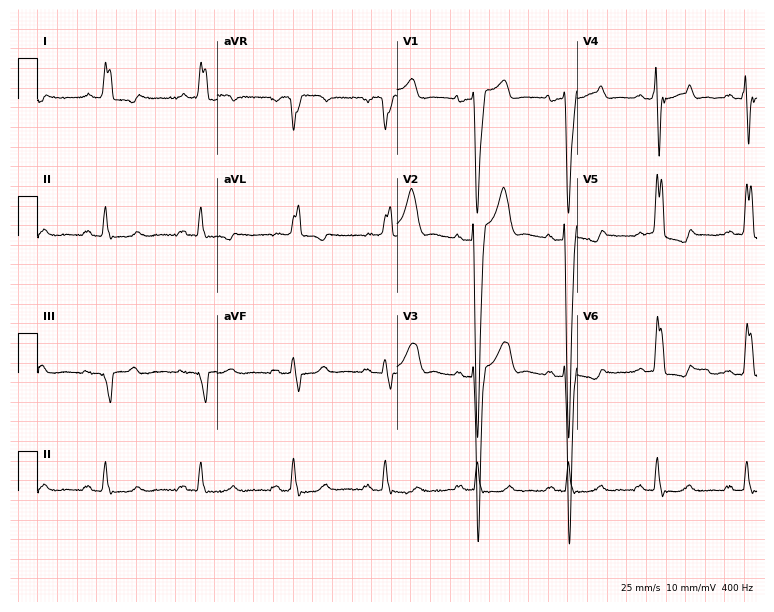
Resting 12-lead electrocardiogram. Patient: a 65-year-old man. The tracing shows left bundle branch block (LBBB).